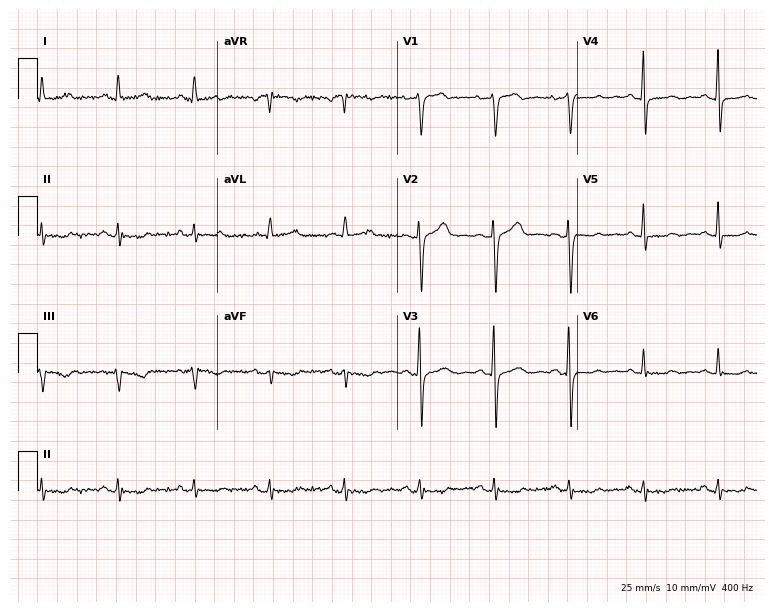
Electrocardiogram, a female patient, 61 years old. Of the six screened findings (first-degree AV block, right bundle branch block, left bundle branch block, sinus bradycardia, atrial fibrillation, sinus tachycardia), none is recorded. Other findings, if any, are not listed.